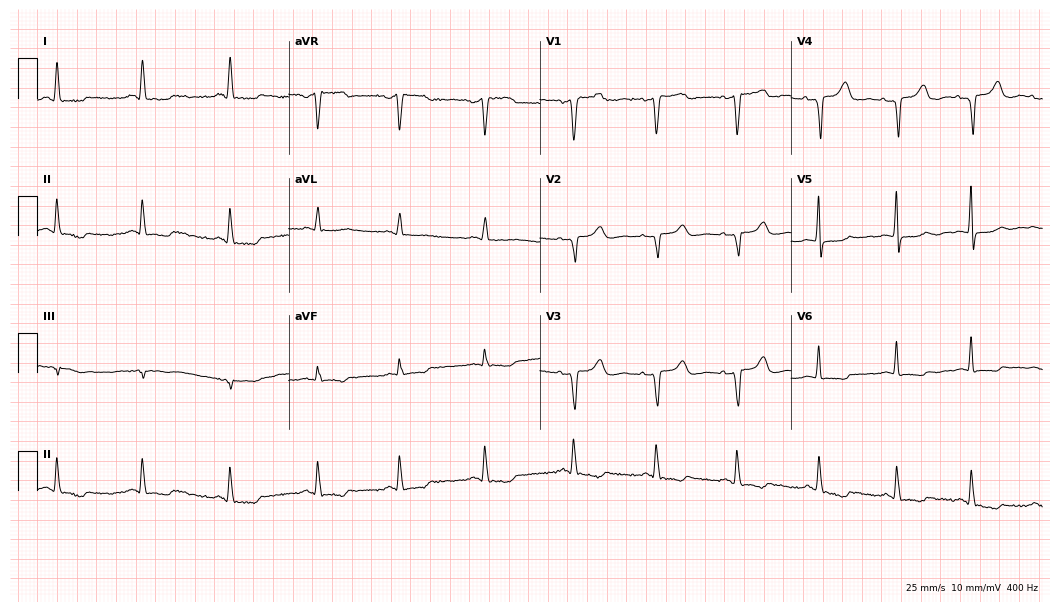
Standard 12-lead ECG recorded from a female patient, 49 years old. None of these six findings is recorded: first-degree AV block, right bundle branch block (RBBB), left bundle branch block (LBBB), sinus bradycardia, atrial fibrillation (AF), sinus tachycardia. Only these six findings were labelled.